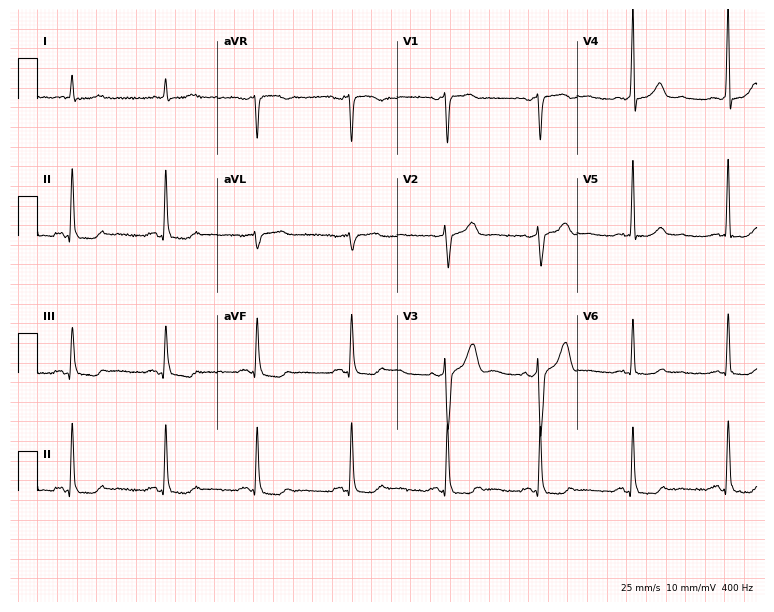
Electrocardiogram, a 67-year-old man. Of the six screened findings (first-degree AV block, right bundle branch block, left bundle branch block, sinus bradycardia, atrial fibrillation, sinus tachycardia), none is recorded. Only these six findings were labelled.